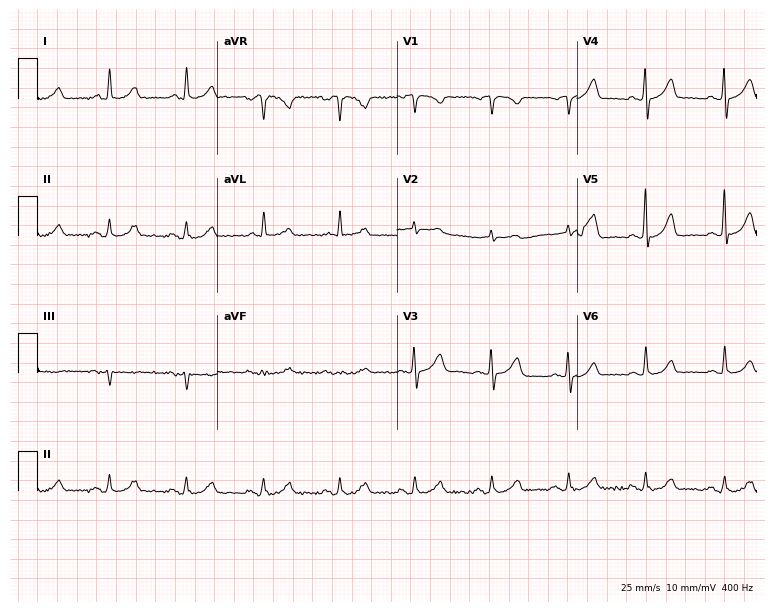
Electrocardiogram, a female patient, 70 years old. Of the six screened findings (first-degree AV block, right bundle branch block, left bundle branch block, sinus bradycardia, atrial fibrillation, sinus tachycardia), none is recorded. Findings outside these six are not listed.